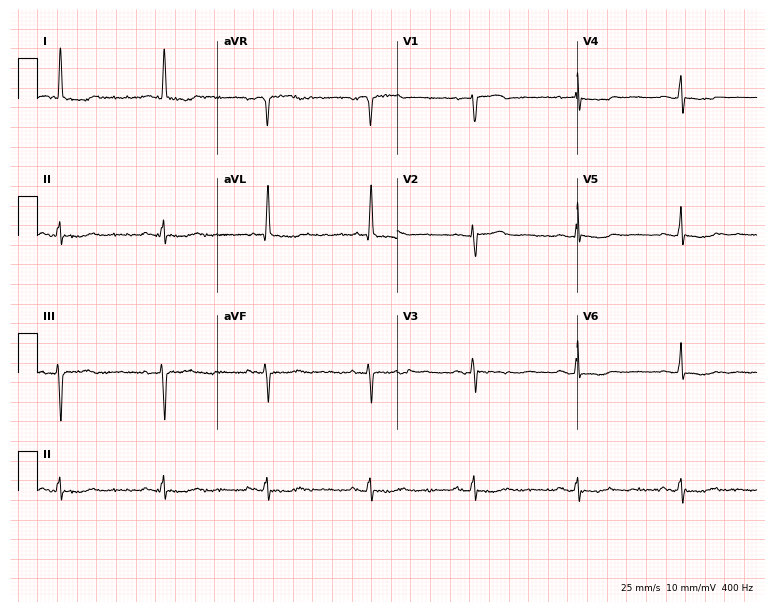
Standard 12-lead ECG recorded from a female patient, 78 years old. None of these six findings is recorded: first-degree AV block, right bundle branch block (RBBB), left bundle branch block (LBBB), sinus bradycardia, atrial fibrillation (AF), sinus tachycardia.